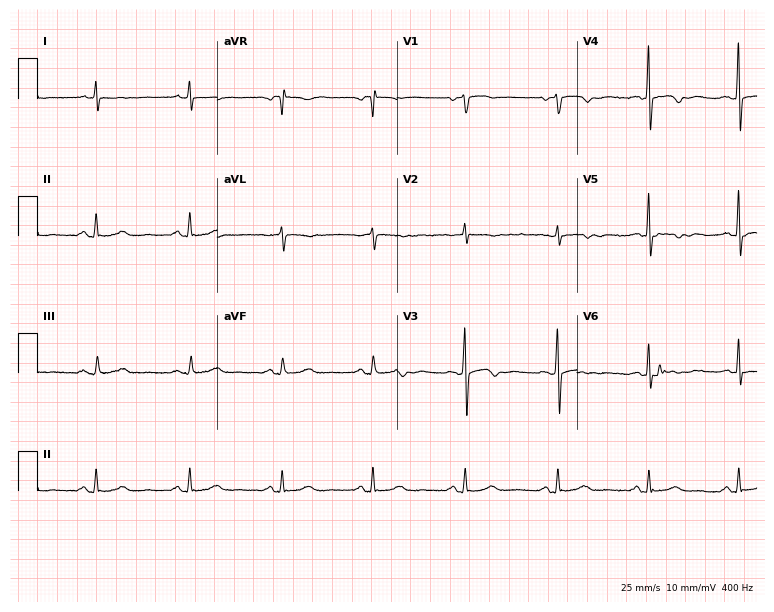
Electrocardiogram, a woman, 56 years old. Overall reading on record: normal ECG.